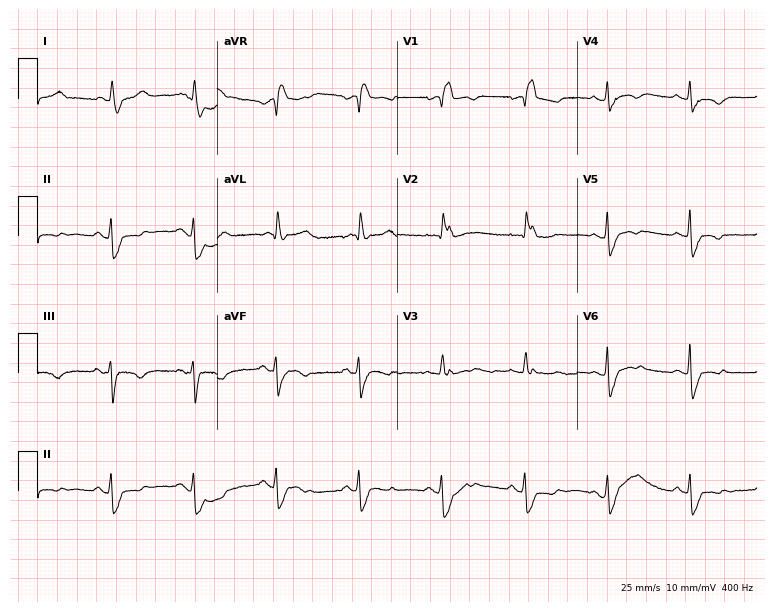
12-lead ECG (7.3-second recording at 400 Hz) from a female, 76 years old. Findings include right bundle branch block.